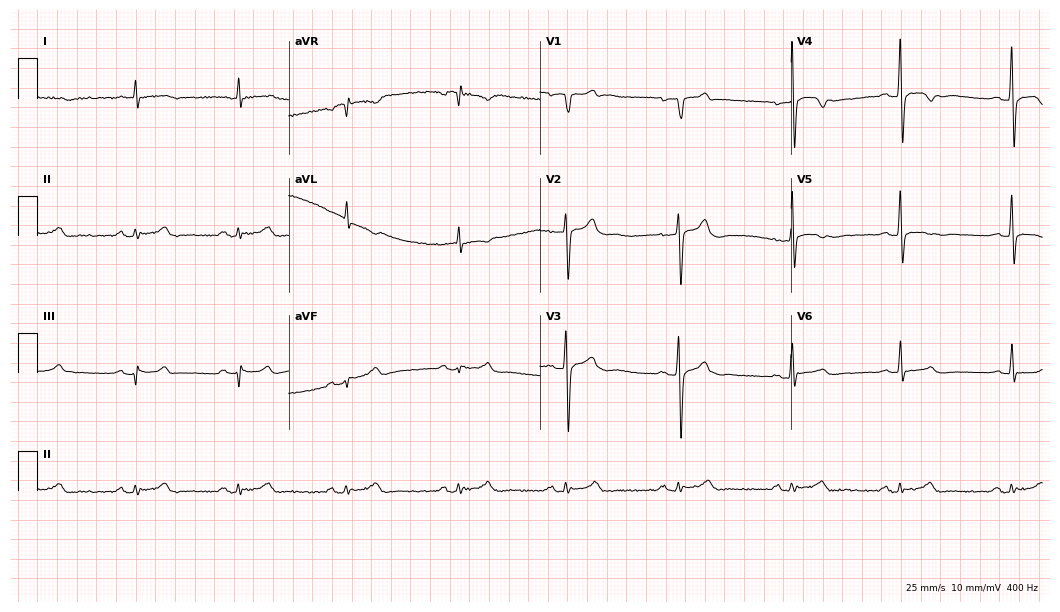
ECG (10.2-second recording at 400 Hz) — a male patient, 48 years old. Screened for six findings — first-degree AV block, right bundle branch block (RBBB), left bundle branch block (LBBB), sinus bradycardia, atrial fibrillation (AF), sinus tachycardia — none is recorded.